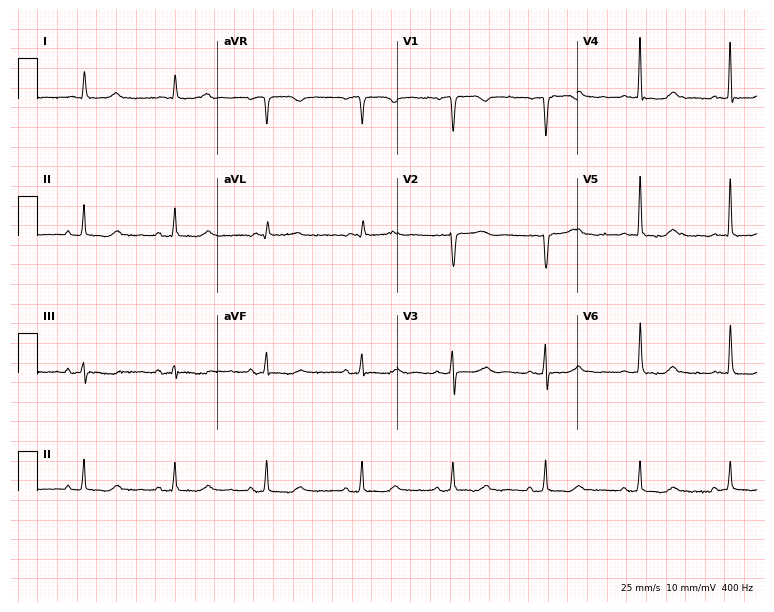
Standard 12-lead ECG recorded from a female, 71 years old. None of these six findings is recorded: first-degree AV block, right bundle branch block (RBBB), left bundle branch block (LBBB), sinus bradycardia, atrial fibrillation (AF), sinus tachycardia. Findings outside these six are not listed.